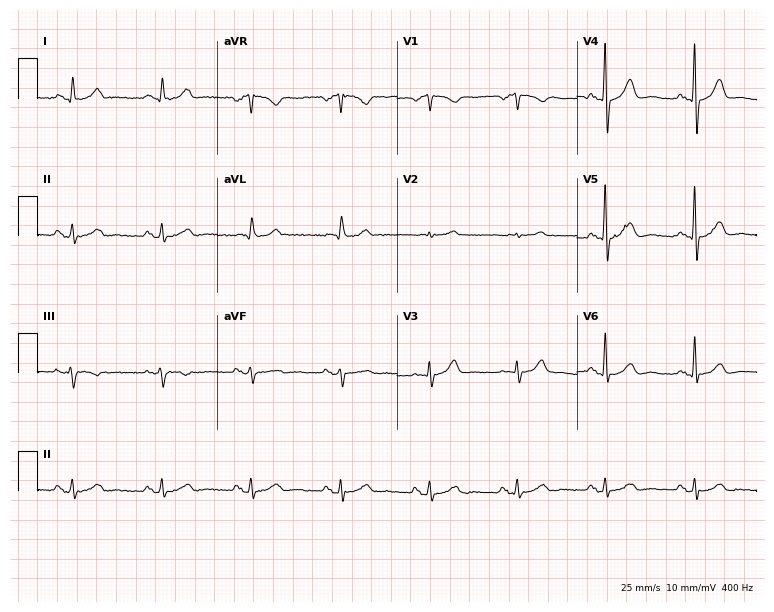
Resting 12-lead electrocardiogram (7.3-second recording at 400 Hz). Patient: a 59-year-old man. None of these six findings is recorded: first-degree AV block, right bundle branch block, left bundle branch block, sinus bradycardia, atrial fibrillation, sinus tachycardia.